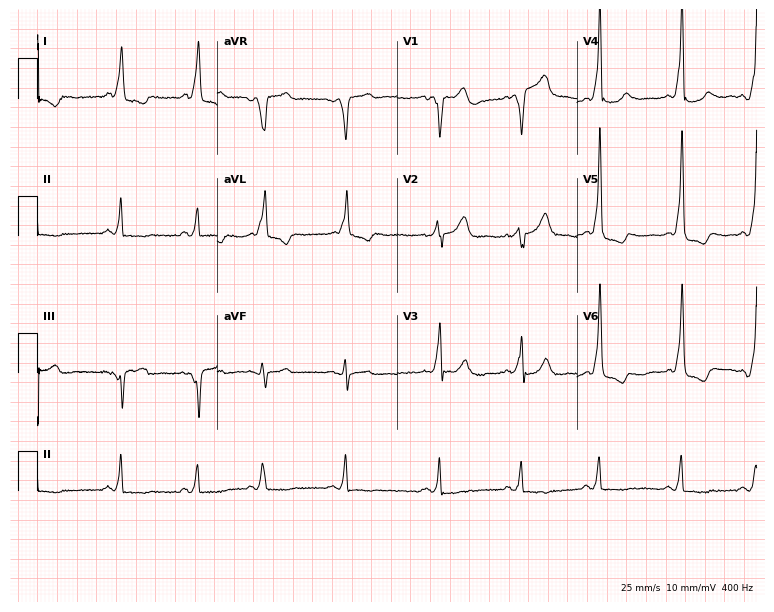
Electrocardiogram (7.3-second recording at 400 Hz), a 72-year-old man. Of the six screened findings (first-degree AV block, right bundle branch block, left bundle branch block, sinus bradycardia, atrial fibrillation, sinus tachycardia), none is recorded.